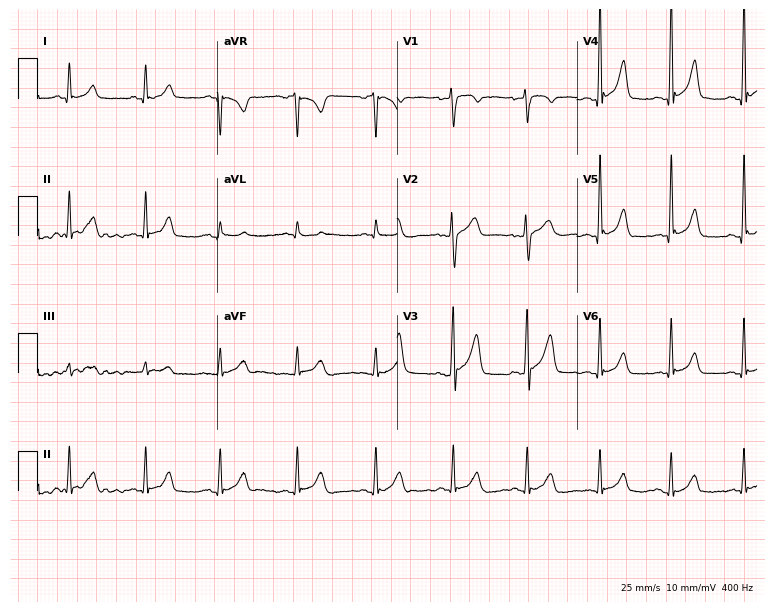
12-lead ECG from a man, 43 years old (7.3-second recording at 400 Hz). Recorded interpretation: within normal limits.